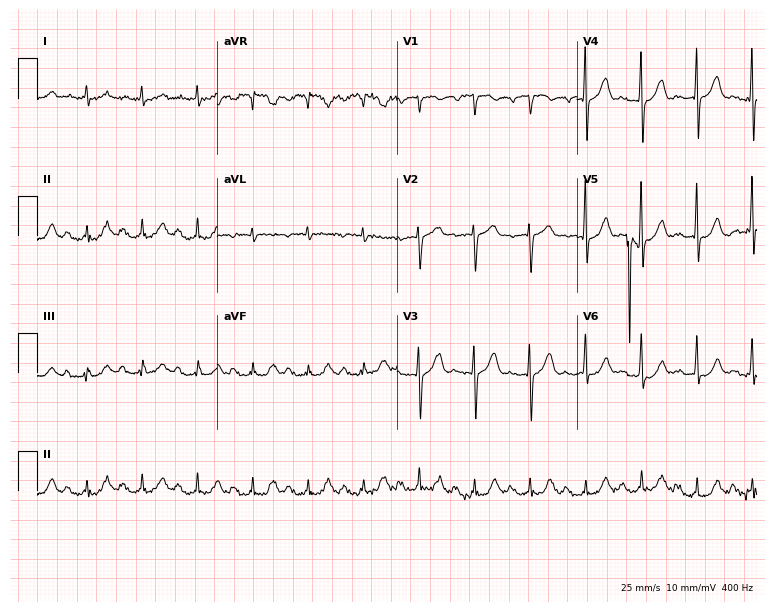
12-lead ECG from a male, 77 years old. Findings include sinus tachycardia (a sinus rate of 100 beats per minute or more).